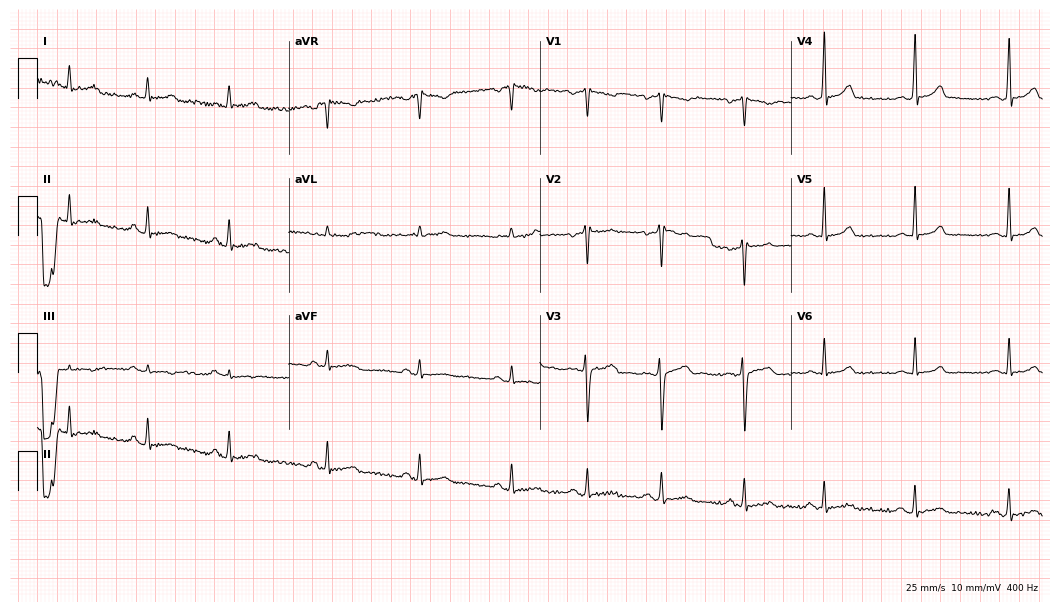
12-lead ECG (10.2-second recording at 400 Hz) from a woman, 19 years old. Screened for six findings — first-degree AV block, right bundle branch block, left bundle branch block, sinus bradycardia, atrial fibrillation, sinus tachycardia — none is recorded.